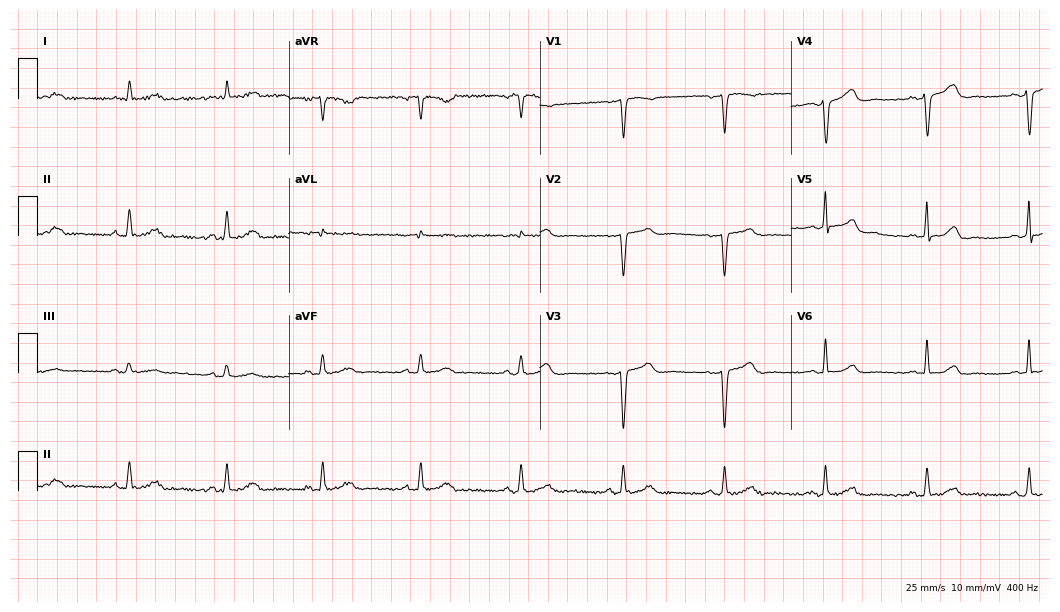
Resting 12-lead electrocardiogram. Patient: a female, 53 years old. None of these six findings is recorded: first-degree AV block, right bundle branch block, left bundle branch block, sinus bradycardia, atrial fibrillation, sinus tachycardia.